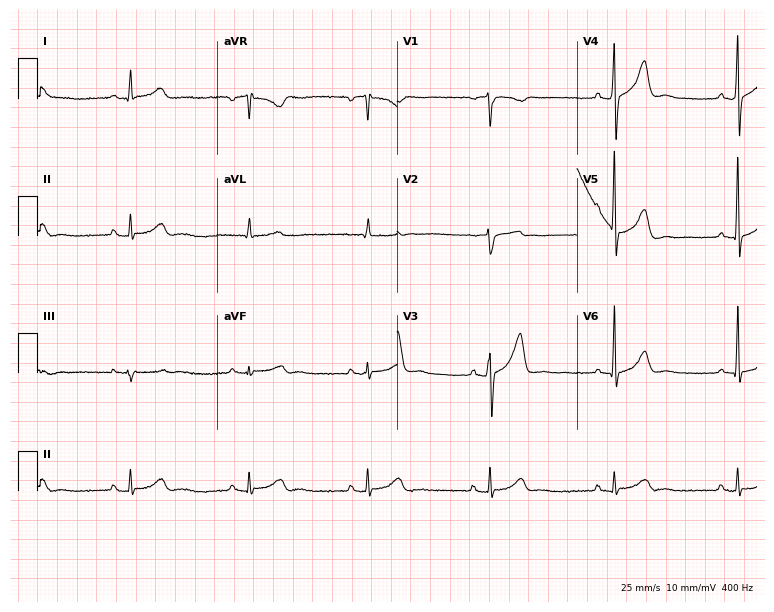
Standard 12-lead ECG recorded from a man, 59 years old. The tracing shows sinus bradycardia (a sinus rate of 50 beats per minute or less).